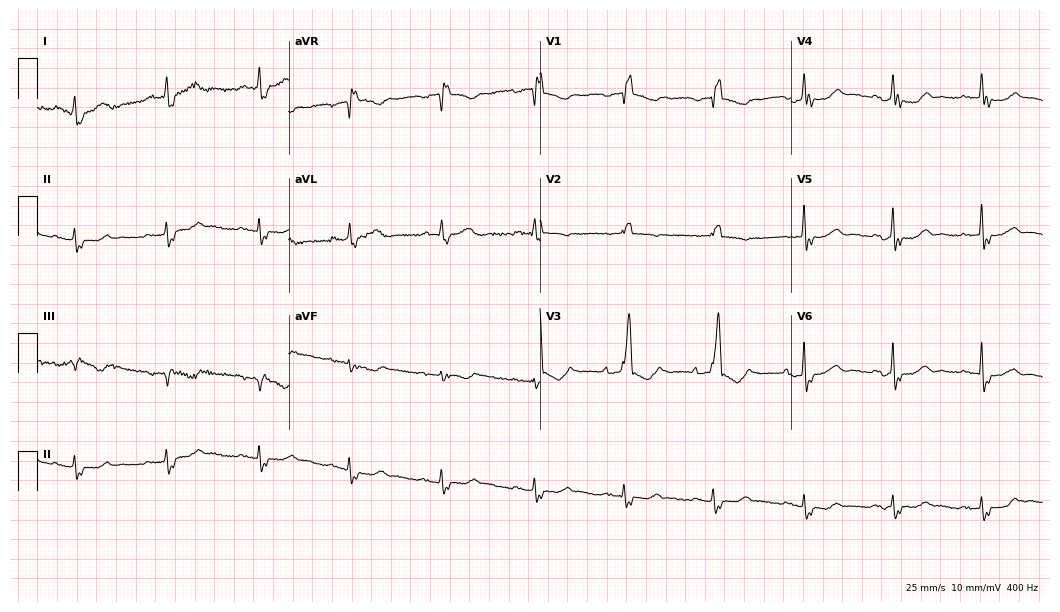
ECG — a female patient, 82 years old. Findings include right bundle branch block.